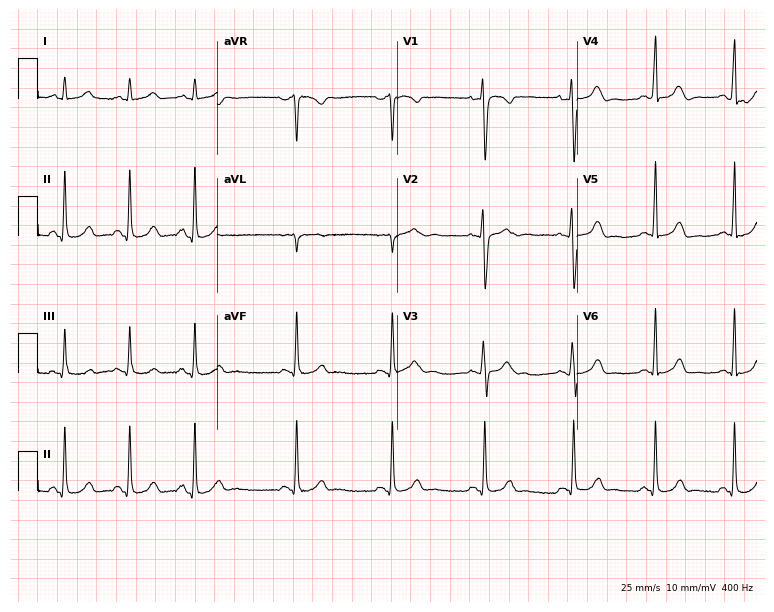
ECG (7.3-second recording at 400 Hz) — a 25-year-old female. Screened for six findings — first-degree AV block, right bundle branch block, left bundle branch block, sinus bradycardia, atrial fibrillation, sinus tachycardia — none is recorded.